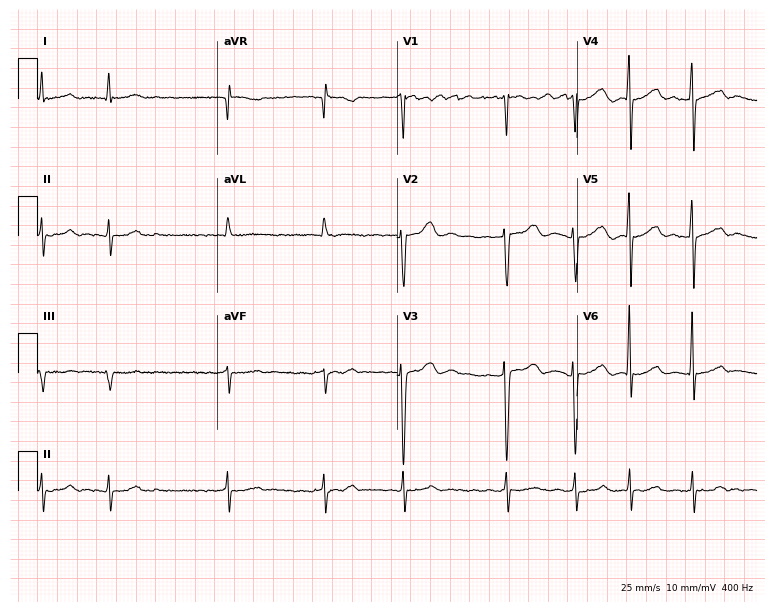
12-lead ECG from a female patient, 84 years old. Findings include atrial fibrillation (AF).